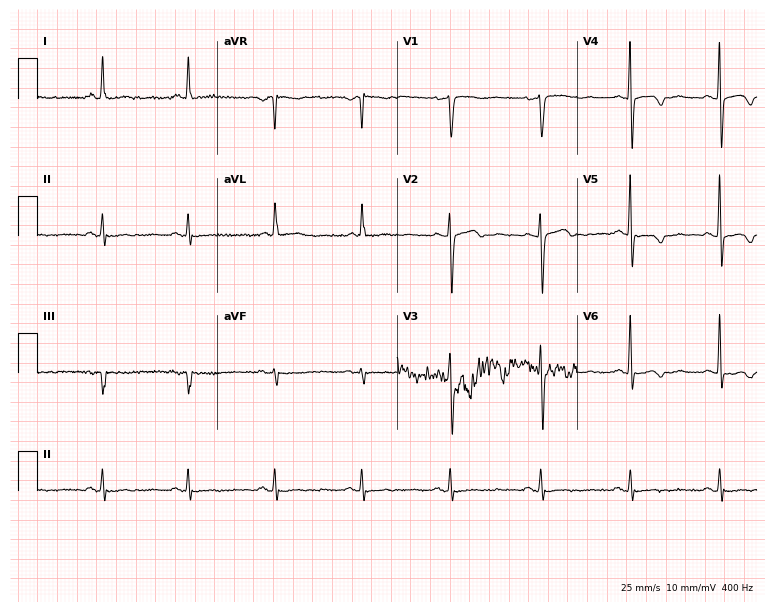
ECG (7.3-second recording at 400 Hz) — a woman, 59 years old. Screened for six findings — first-degree AV block, right bundle branch block, left bundle branch block, sinus bradycardia, atrial fibrillation, sinus tachycardia — none is recorded.